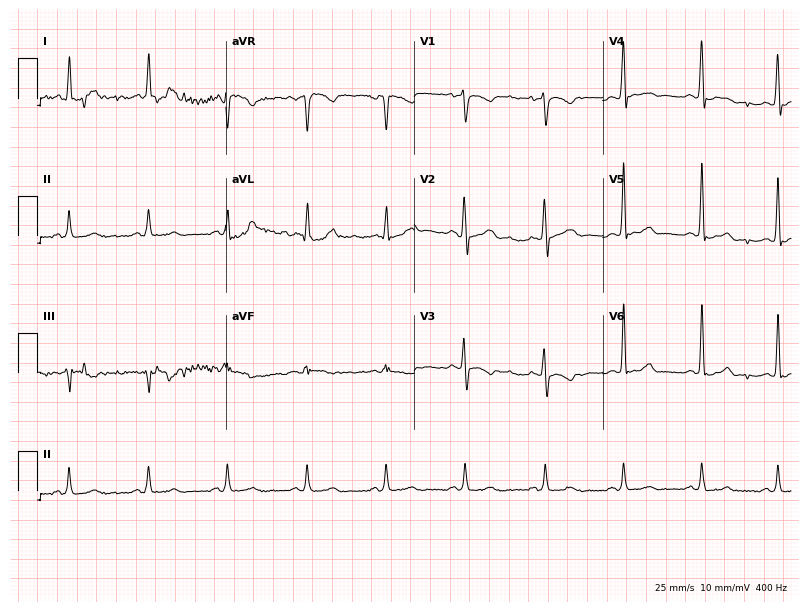
12-lead ECG from a 46-year-old woman. Recorded interpretation: within normal limits.